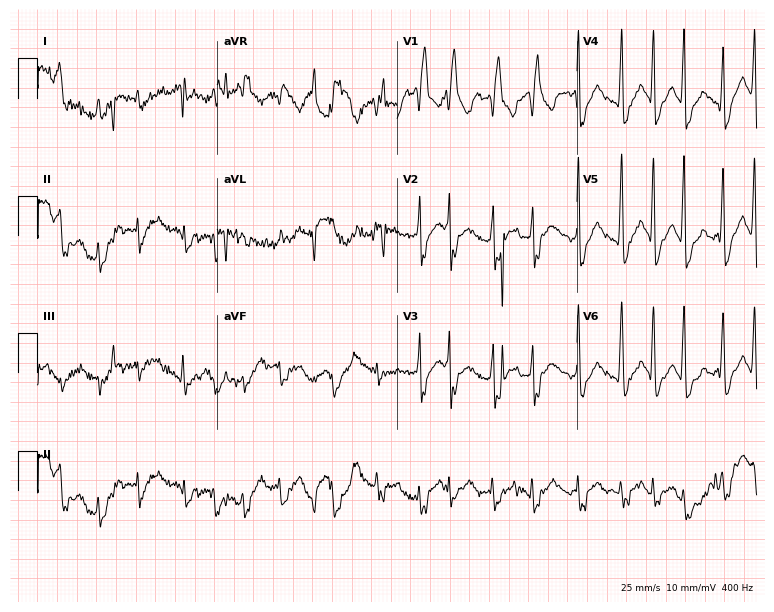
12-lead ECG from an 85-year-old man. Shows right bundle branch block, atrial fibrillation.